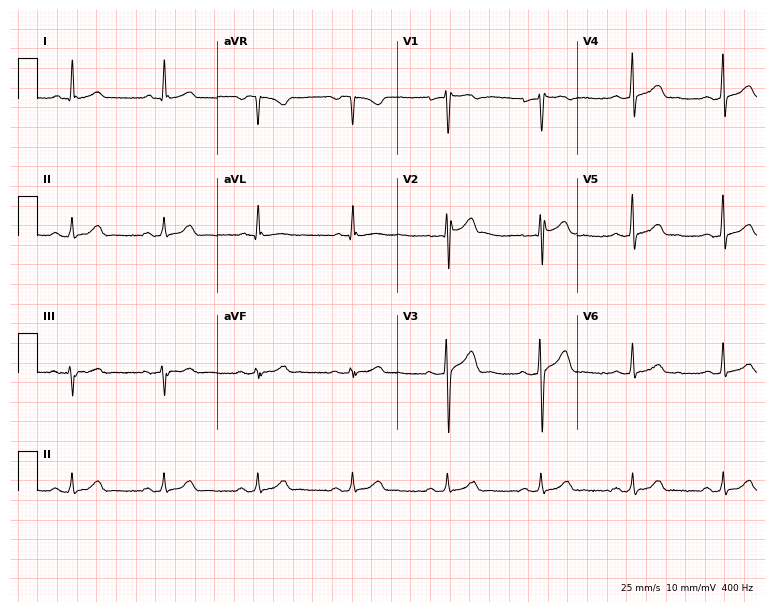
12-lead ECG (7.3-second recording at 400 Hz) from a 67-year-old male. Screened for six findings — first-degree AV block, right bundle branch block (RBBB), left bundle branch block (LBBB), sinus bradycardia, atrial fibrillation (AF), sinus tachycardia — none is recorded.